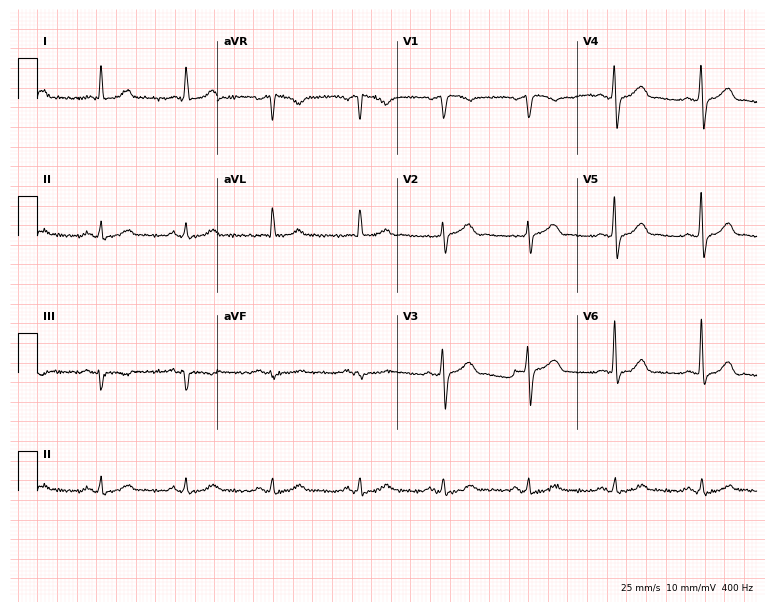
12-lead ECG (7.3-second recording at 400 Hz) from a 61-year-old male. Screened for six findings — first-degree AV block, right bundle branch block, left bundle branch block, sinus bradycardia, atrial fibrillation, sinus tachycardia — none is recorded. Other findings, if any, are not listed.